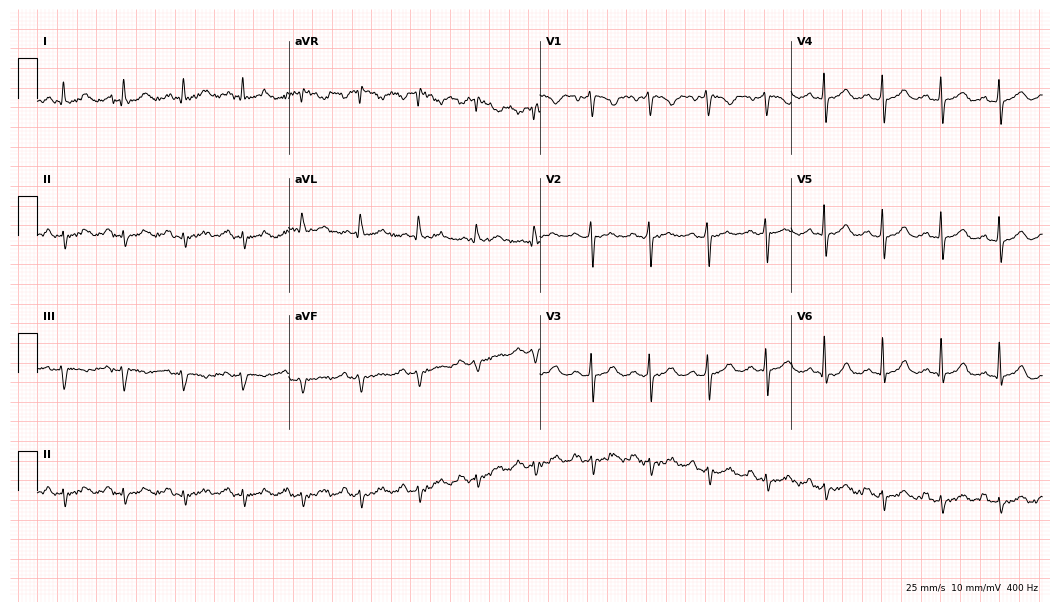
Standard 12-lead ECG recorded from a male, 58 years old (10.2-second recording at 400 Hz). Read as a normal ECG.